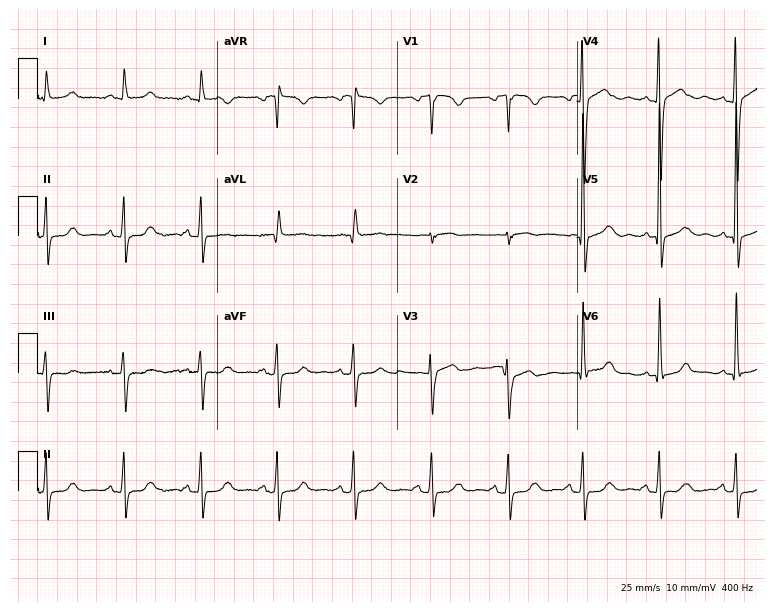
Standard 12-lead ECG recorded from a female, 58 years old. Read as a normal ECG.